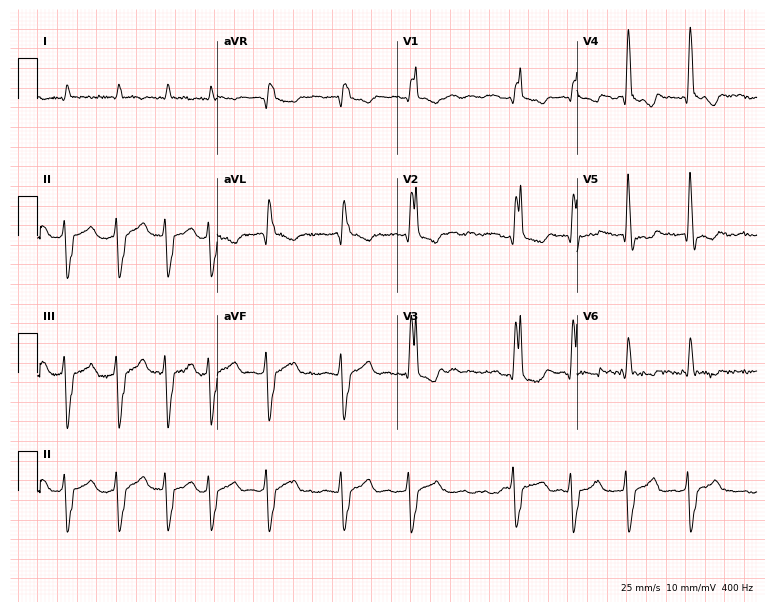
ECG (7.3-second recording at 400 Hz) — a 78-year-old female patient. Findings include right bundle branch block (RBBB), atrial fibrillation (AF).